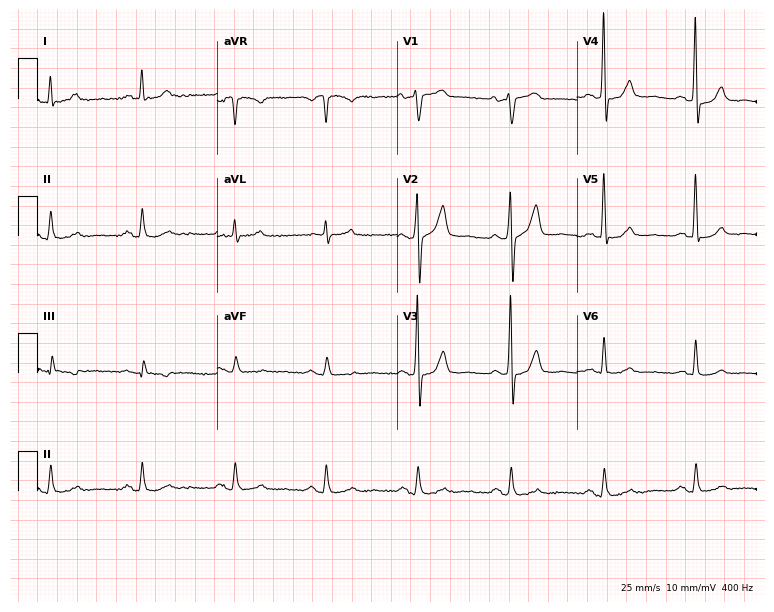
12-lead ECG from a 71-year-old man. Screened for six findings — first-degree AV block, right bundle branch block, left bundle branch block, sinus bradycardia, atrial fibrillation, sinus tachycardia — none is recorded.